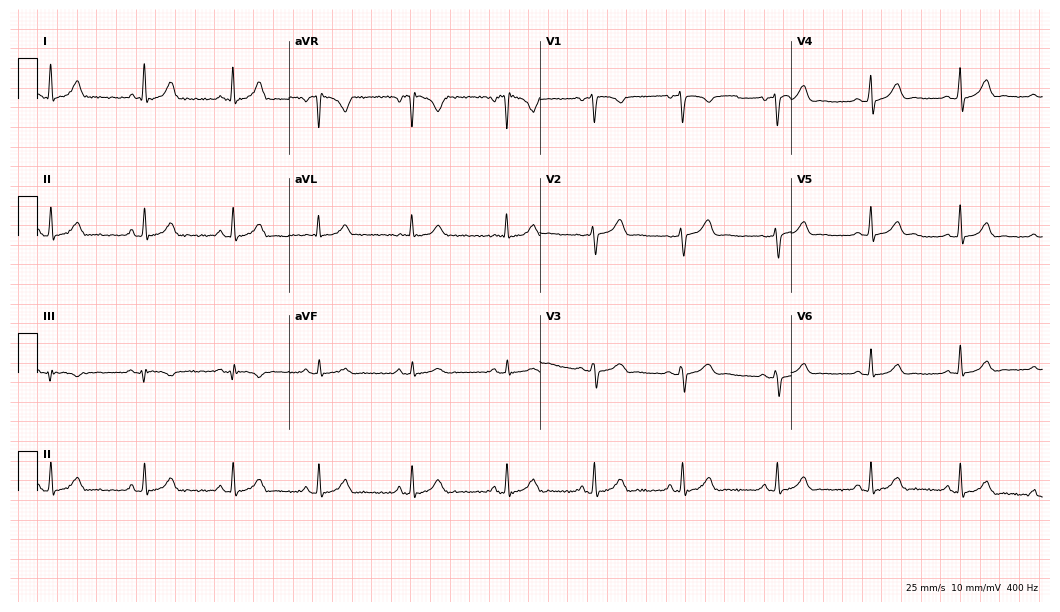
12-lead ECG from a 35-year-old female. Recorded interpretation: within normal limits.